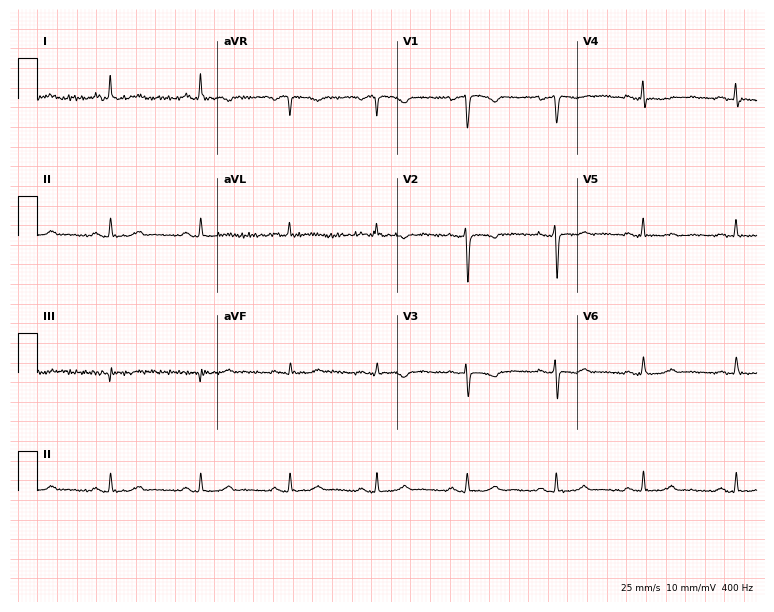
Resting 12-lead electrocardiogram. Patient: a female, 40 years old. None of these six findings is recorded: first-degree AV block, right bundle branch block (RBBB), left bundle branch block (LBBB), sinus bradycardia, atrial fibrillation (AF), sinus tachycardia.